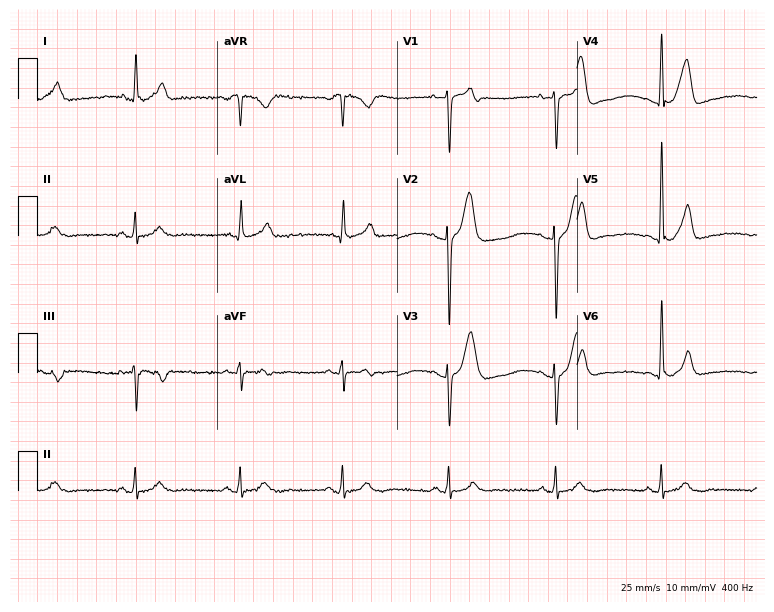
12-lead ECG from a female patient, 64 years old. Recorded interpretation: within normal limits.